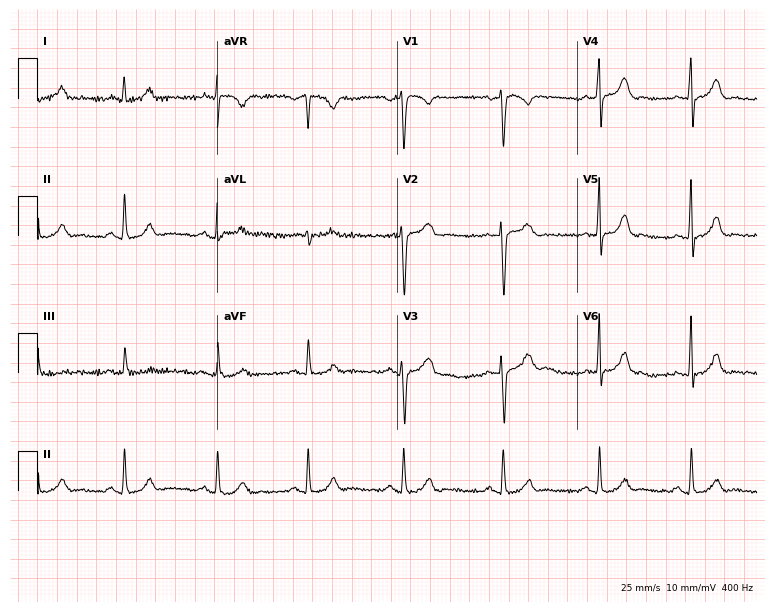
Resting 12-lead electrocardiogram. Patient: a 54-year-old male. None of these six findings is recorded: first-degree AV block, right bundle branch block, left bundle branch block, sinus bradycardia, atrial fibrillation, sinus tachycardia.